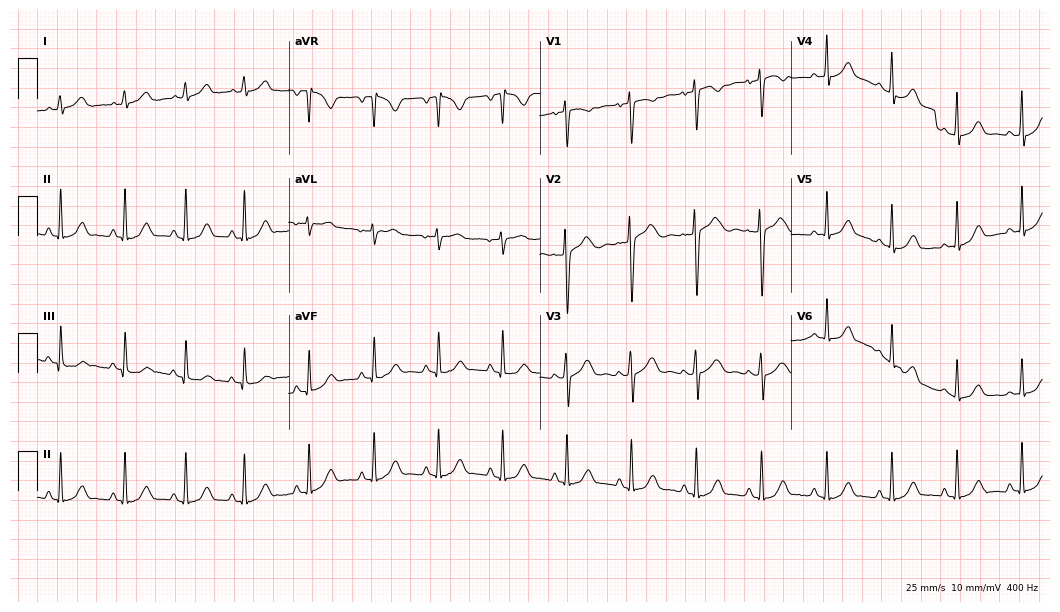
Standard 12-lead ECG recorded from an 18-year-old female patient (10.2-second recording at 400 Hz). Read as a normal ECG.